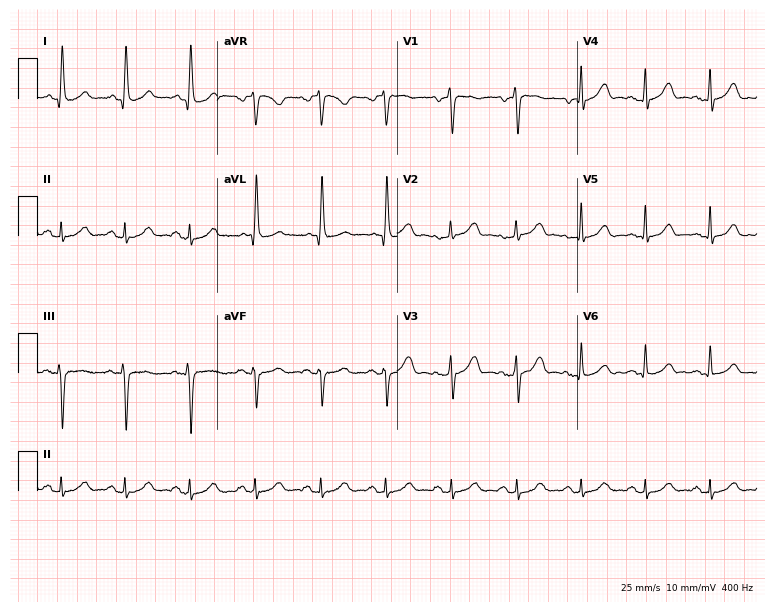
Resting 12-lead electrocardiogram (7.3-second recording at 400 Hz). Patient: a 66-year-old woman. Read as a normal ECG.